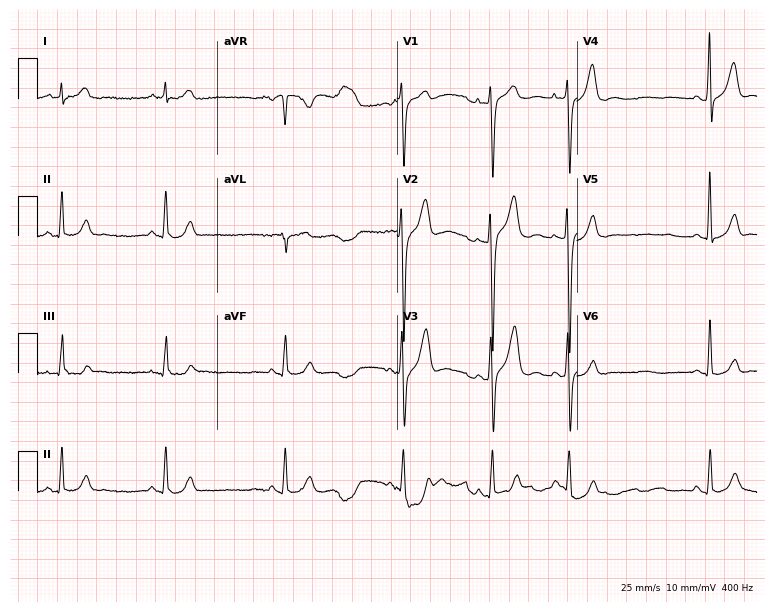
12-lead ECG from a male, 23 years old. No first-degree AV block, right bundle branch block, left bundle branch block, sinus bradycardia, atrial fibrillation or sinus tachycardia recorded for this tracing. Other findings, if any, are not listed.